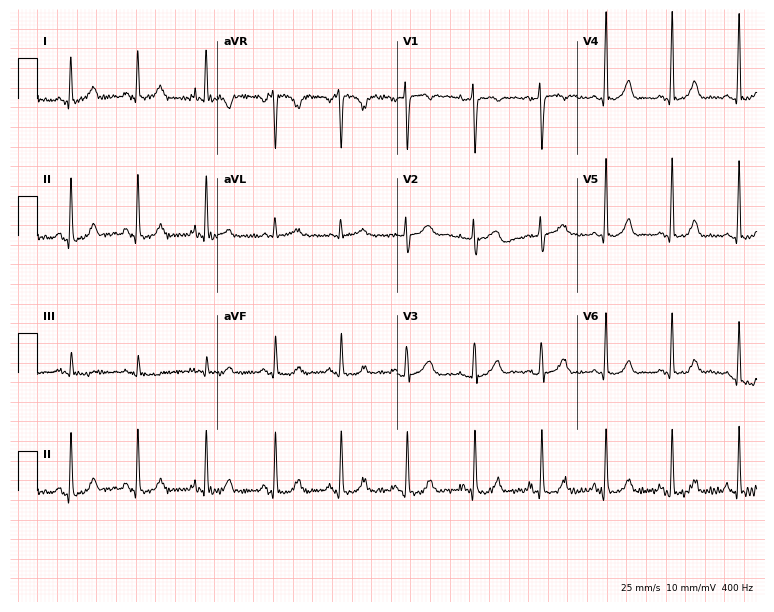
12-lead ECG from a 45-year-old female patient. Screened for six findings — first-degree AV block, right bundle branch block, left bundle branch block, sinus bradycardia, atrial fibrillation, sinus tachycardia — none is recorded.